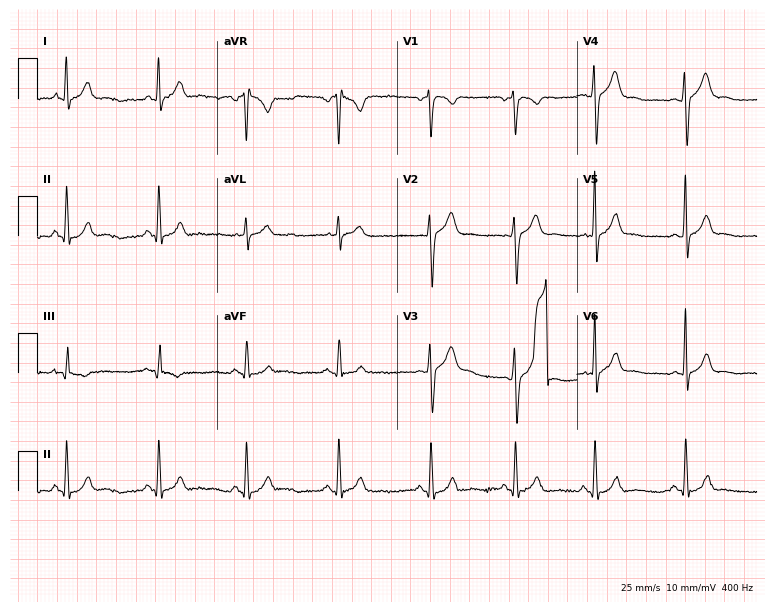
Resting 12-lead electrocardiogram. Patient: a male, 18 years old. None of these six findings is recorded: first-degree AV block, right bundle branch block, left bundle branch block, sinus bradycardia, atrial fibrillation, sinus tachycardia.